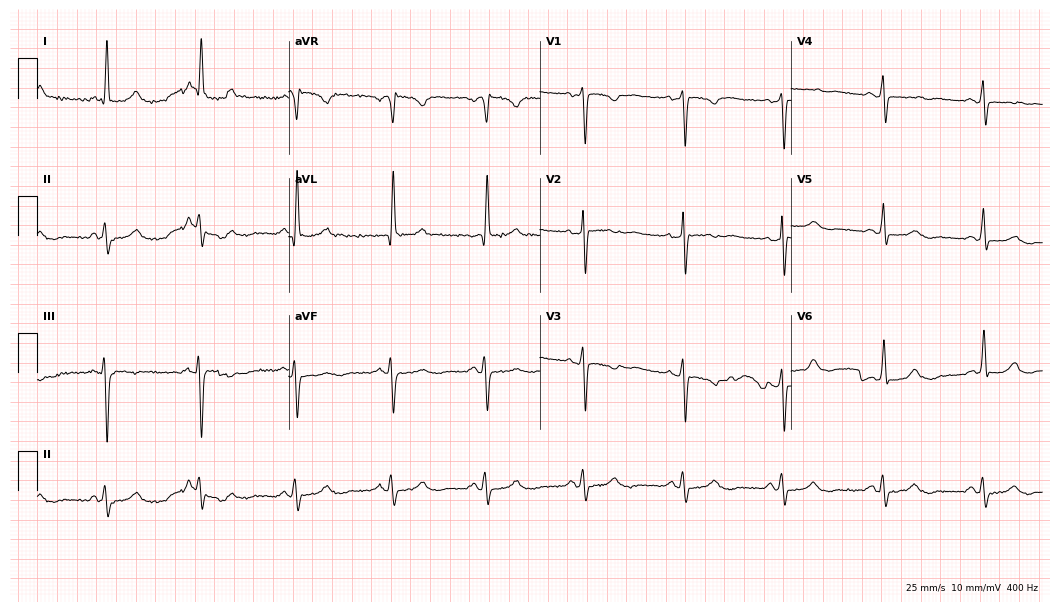
12-lead ECG from a female, 60 years old. No first-degree AV block, right bundle branch block, left bundle branch block, sinus bradycardia, atrial fibrillation or sinus tachycardia recorded for this tracing.